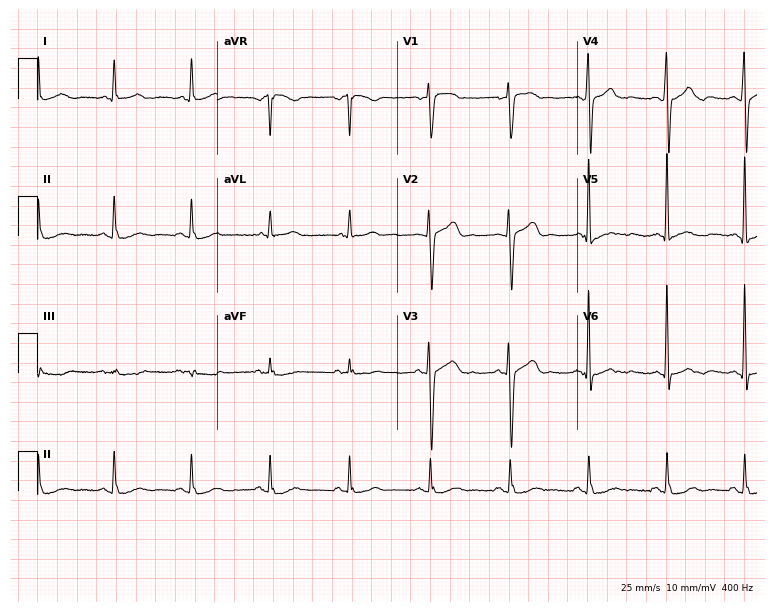
12-lead ECG from a 56-year-old male patient (7.3-second recording at 400 Hz). No first-degree AV block, right bundle branch block (RBBB), left bundle branch block (LBBB), sinus bradycardia, atrial fibrillation (AF) or sinus tachycardia recorded for this tracing.